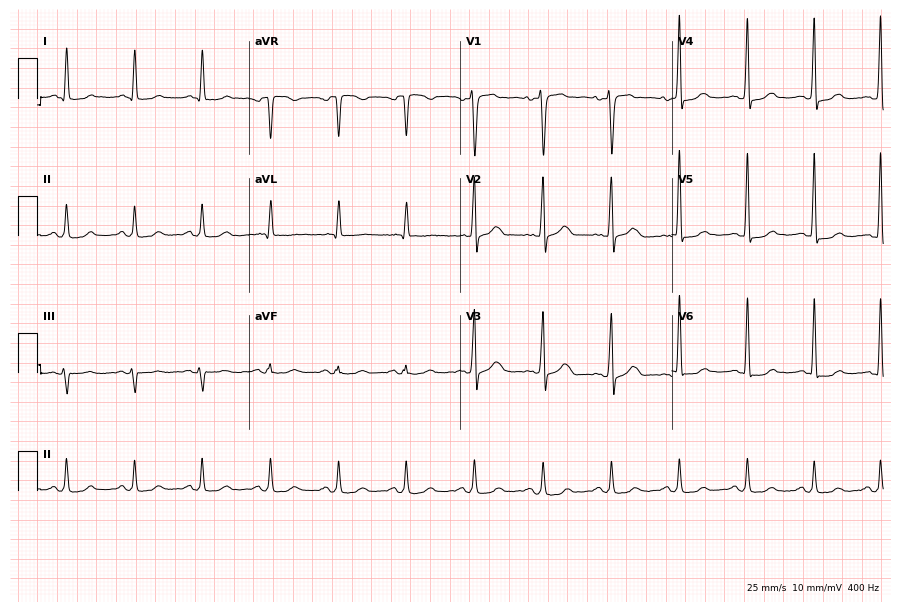
Resting 12-lead electrocardiogram. Patient: a female, 48 years old. Read as a normal ECG.